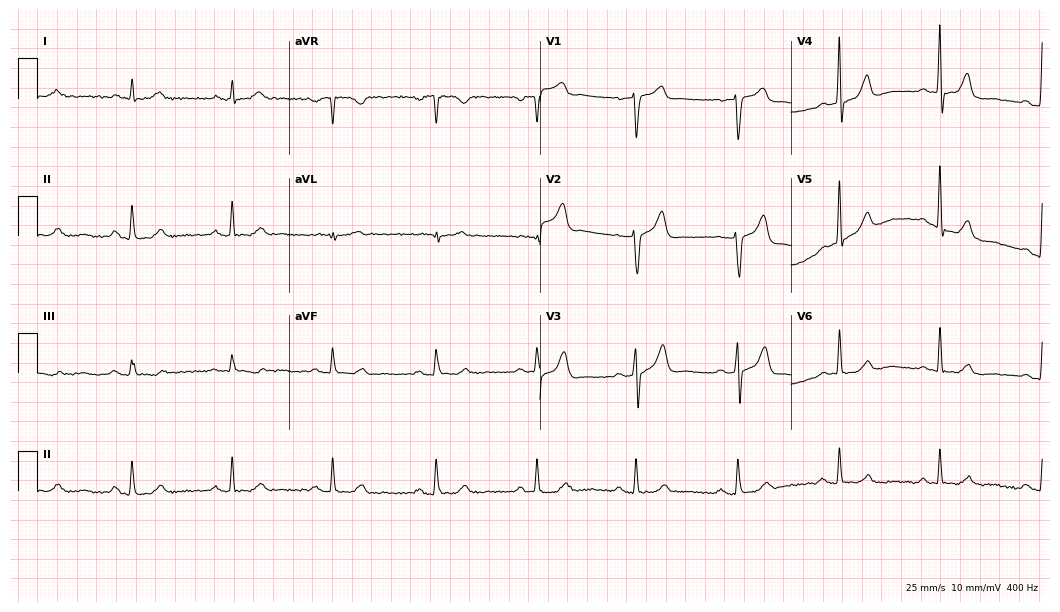
12-lead ECG from a man, 78 years old. Recorded interpretation: within normal limits.